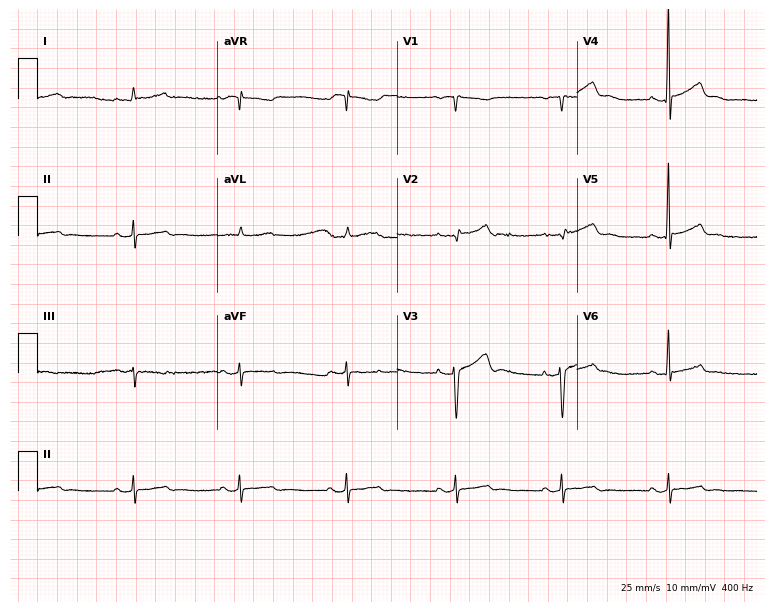
Resting 12-lead electrocardiogram (7.3-second recording at 400 Hz). Patient: a female, 53 years old. Read as a normal ECG.